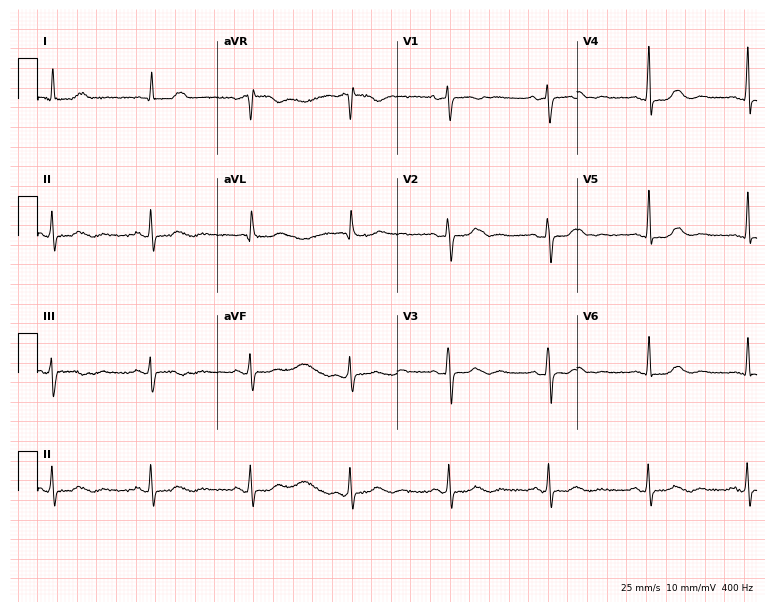
12-lead ECG (7.3-second recording at 400 Hz) from a 63-year-old woman. Labelled as a normal ECG.